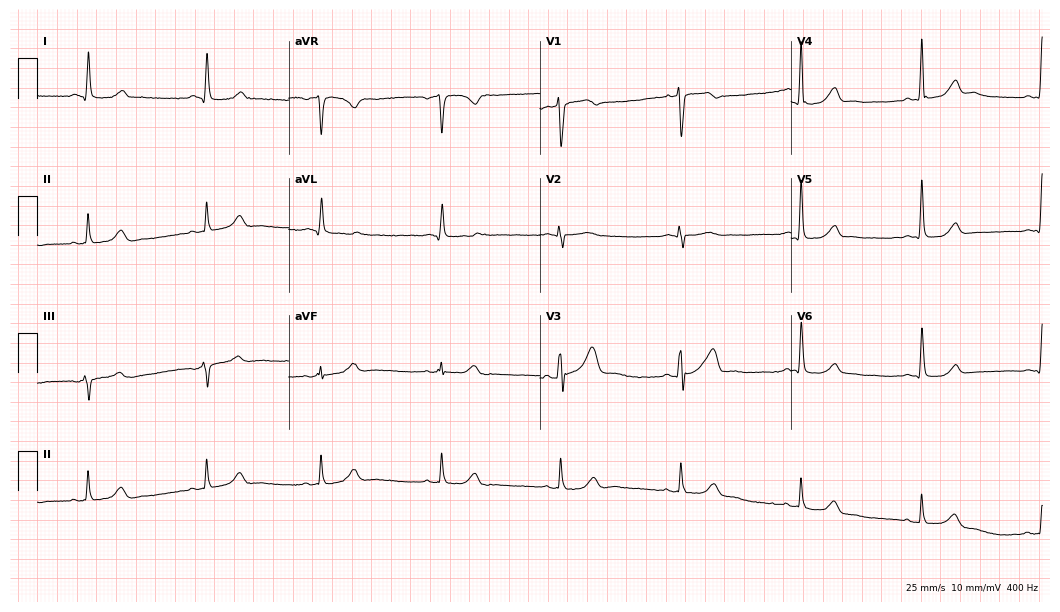
ECG (10.2-second recording at 400 Hz) — an 80-year-old man. Labelled as a normal ECG.